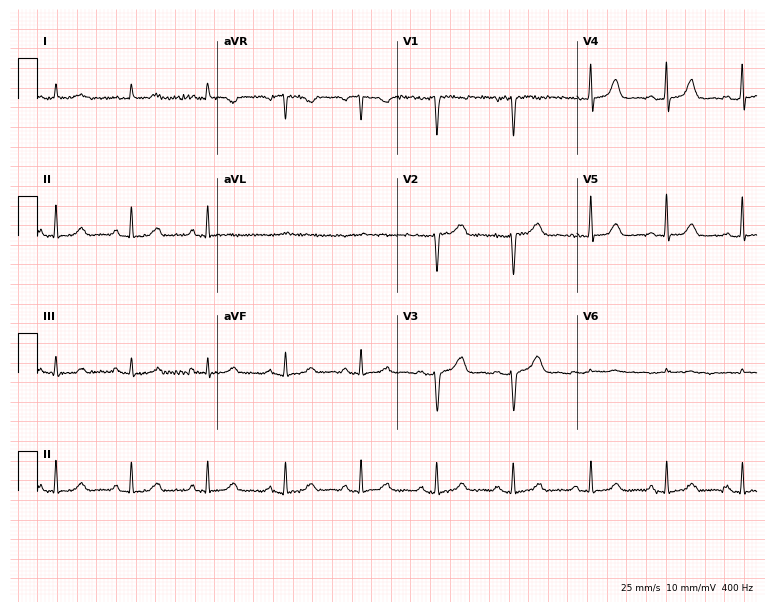
Resting 12-lead electrocardiogram. Patient: a woman, 43 years old. None of these six findings is recorded: first-degree AV block, right bundle branch block, left bundle branch block, sinus bradycardia, atrial fibrillation, sinus tachycardia.